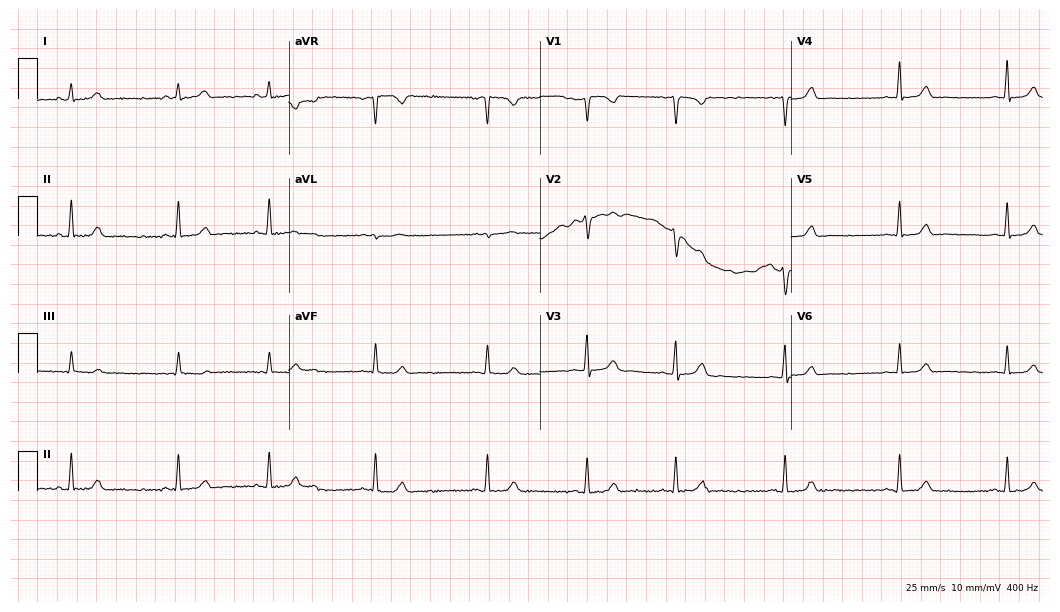
Resting 12-lead electrocardiogram. Patient: a 22-year-old female. Read as a normal ECG.